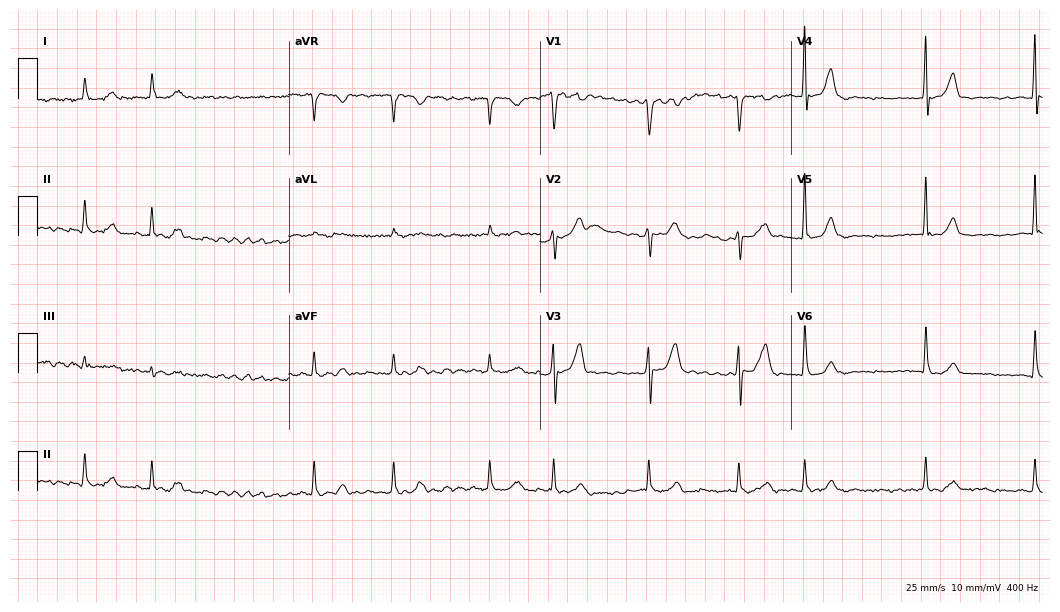
Electrocardiogram, a man, 66 years old. Interpretation includes atrial fibrillation (AF).